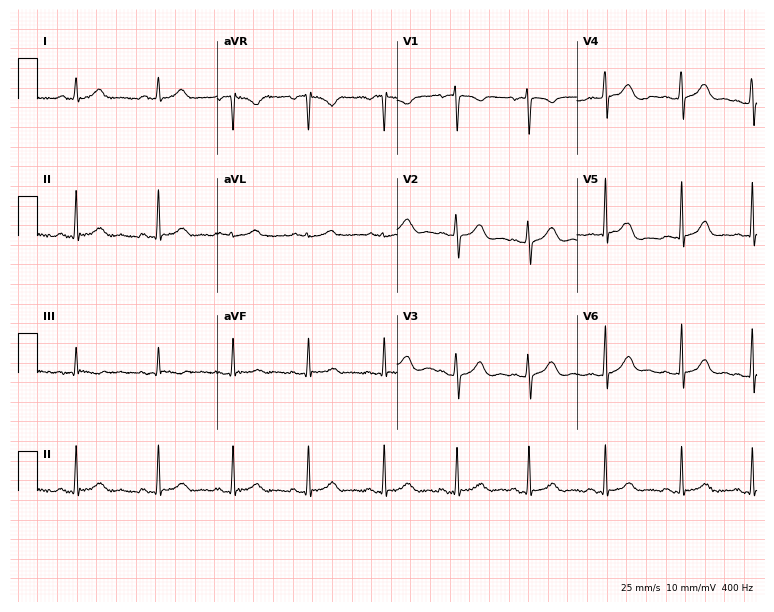
Electrocardiogram (7.3-second recording at 400 Hz), a female, 20 years old. Of the six screened findings (first-degree AV block, right bundle branch block (RBBB), left bundle branch block (LBBB), sinus bradycardia, atrial fibrillation (AF), sinus tachycardia), none is recorded. Only these six findings were labelled.